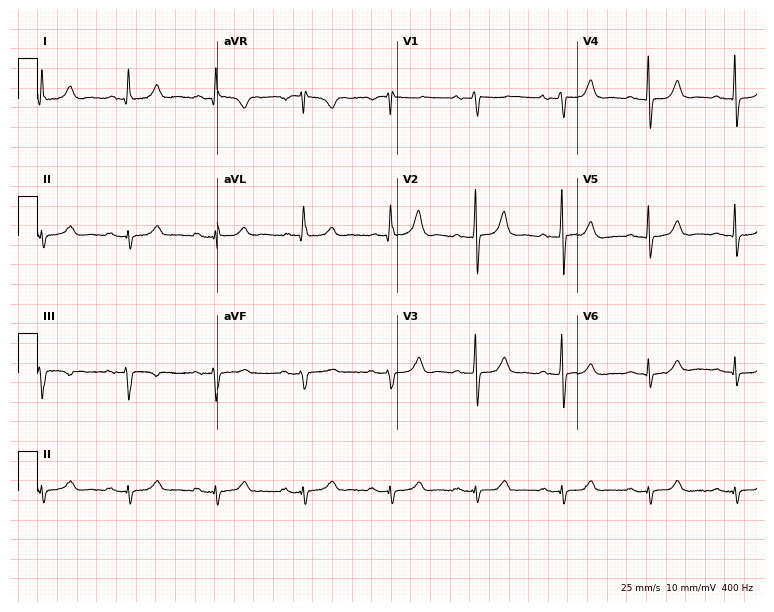
Electrocardiogram, a female, 84 years old. Of the six screened findings (first-degree AV block, right bundle branch block, left bundle branch block, sinus bradycardia, atrial fibrillation, sinus tachycardia), none is recorded.